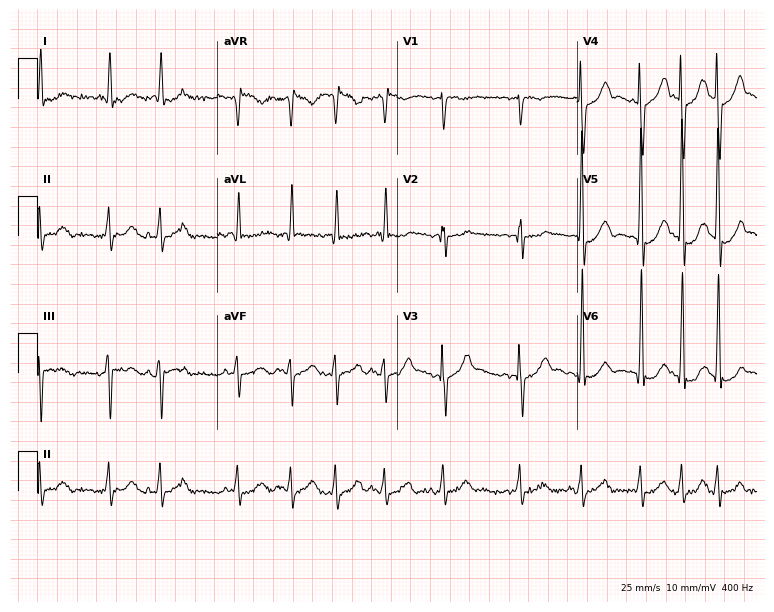
ECG (7.3-second recording at 400 Hz) — a male patient, 75 years old. Screened for six findings — first-degree AV block, right bundle branch block, left bundle branch block, sinus bradycardia, atrial fibrillation, sinus tachycardia — none is recorded. Other findings, if any, are not listed.